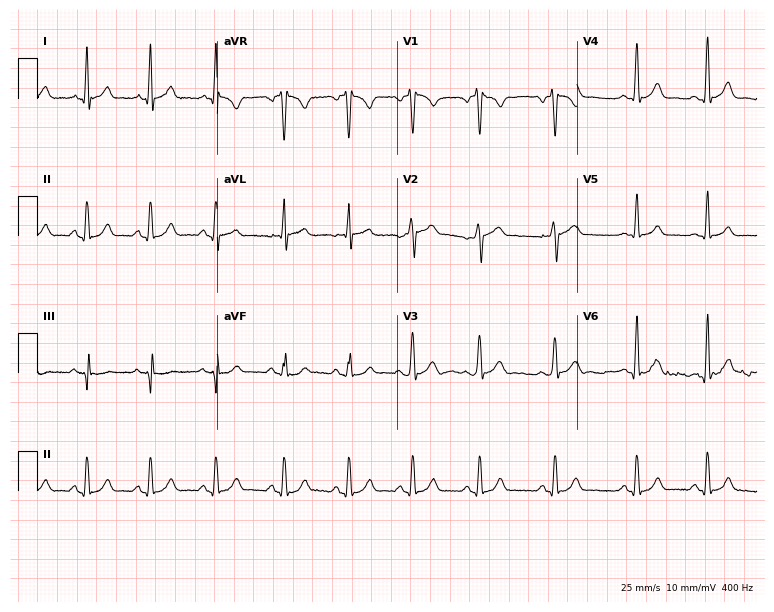
Electrocardiogram (7.3-second recording at 400 Hz), a male patient, 35 years old. Of the six screened findings (first-degree AV block, right bundle branch block, left bundle branch block, sinus bradycardia, atrial fibrillation, sinus tachycardia), none is recorded. Findings outside these six are not listed.